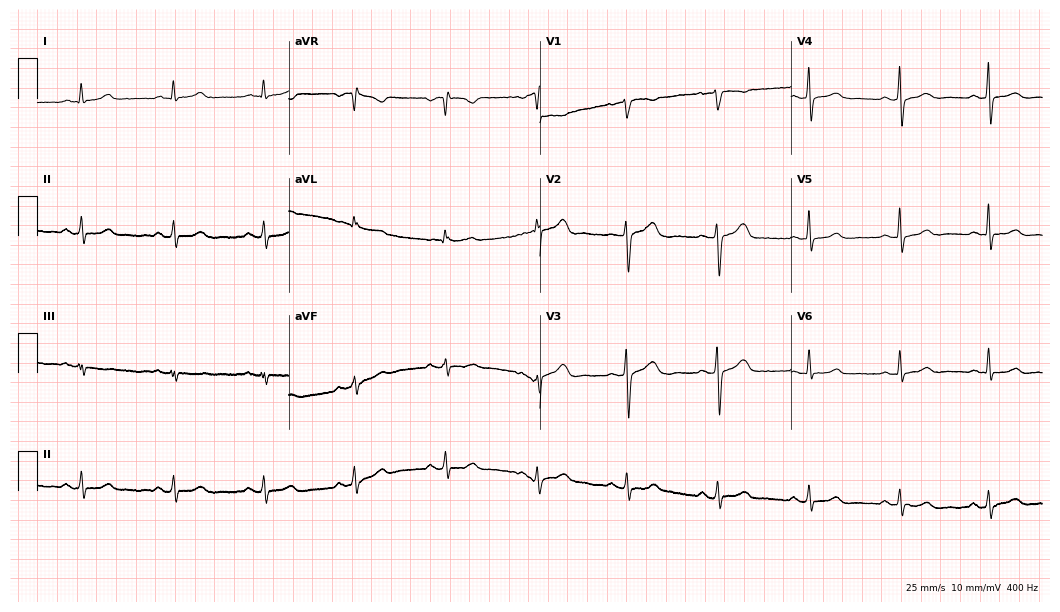
Electrocardiogram, a female patient, 43 years old. Overall reading on record: normal ECG.